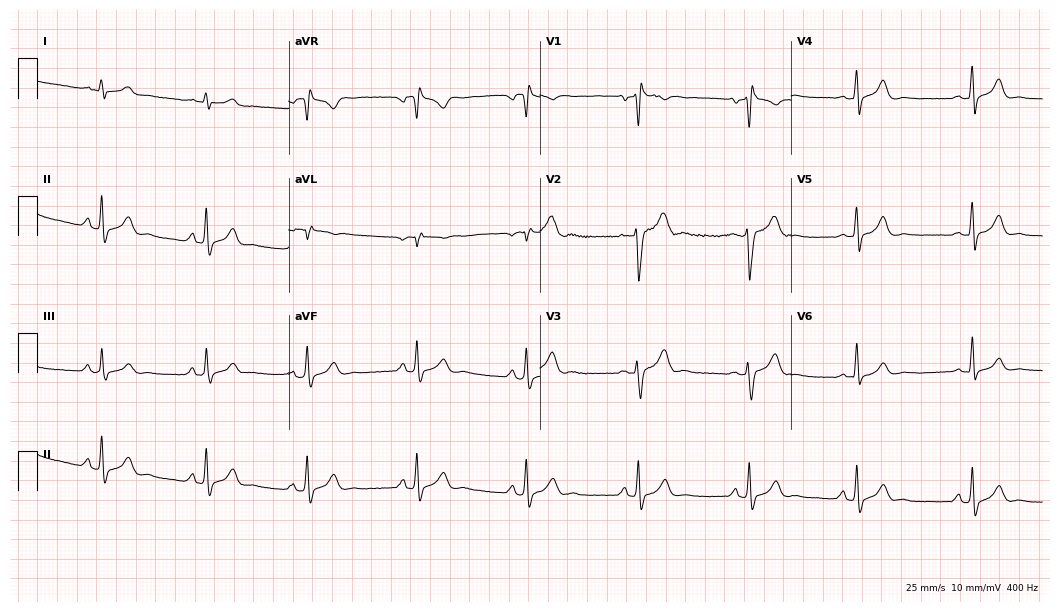
ECG (10.2-second recording at 400 Hz) — a 29-year-old male patient. Screened for six findings — first-degree AV block, right bundle branch block, left bundle branch block, sinus bradycardia, atrial fibrillation, sinus tachycardia — none is recorded. Findings outside these six are not listed.